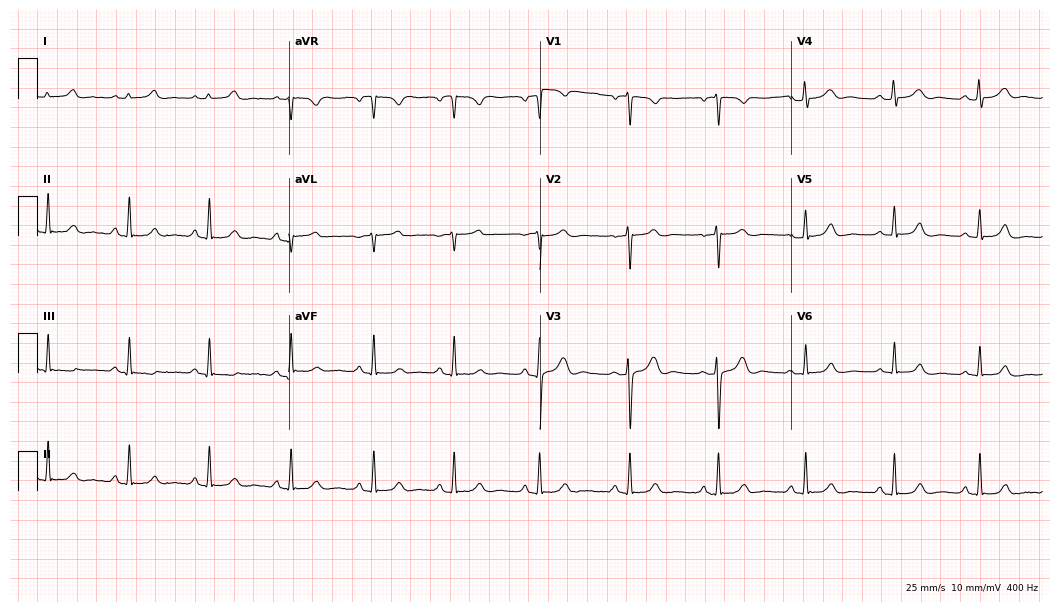
Standard 12-lead ECG recorded from a female patient, 19 years old. Read as a normal ECG.